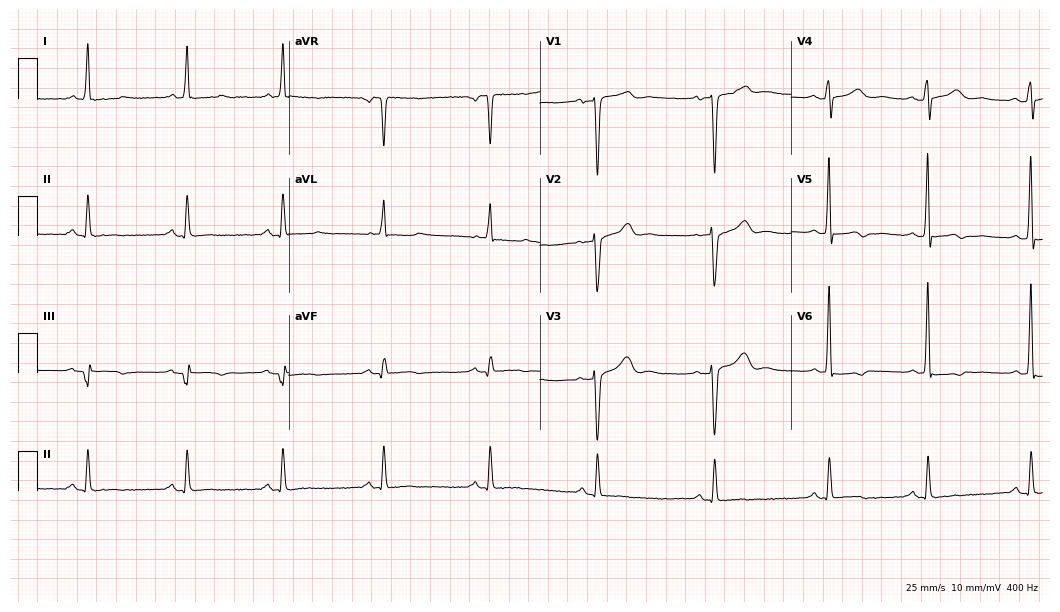
Standard 12-lead ECG recorded from a 59-year-old female patient (10.2-second recording at 400 Hz). None of these six findings is recorded: first-degree AV block, right bundle branch block (RBBB), left bundle branch block (LBBB), sinus bradycardia, atrial fibrillation (AF), sinus tachycardia. Only these six findings were labelled.